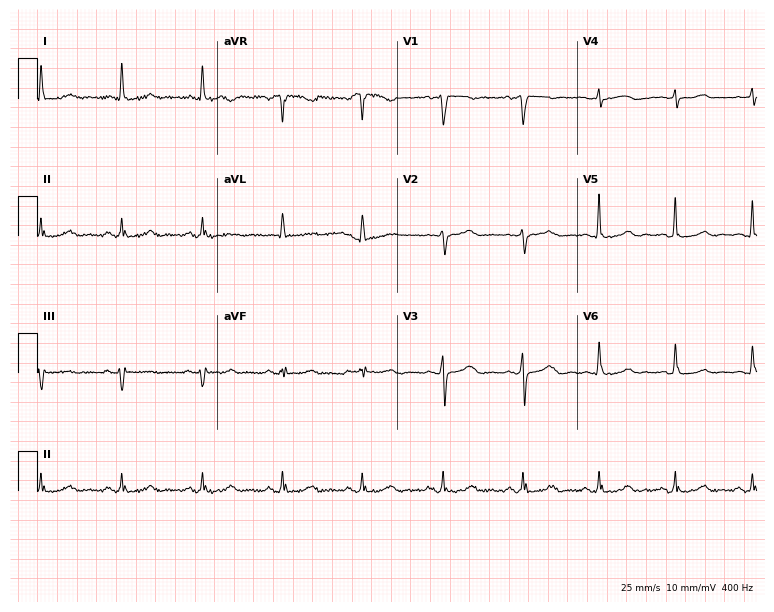
Resting 12-lead electrocardiogram. Patient: a female, 78 years old. None of these six findings is recorded: first-degree AV block, right bundle branch block, left bundle branch block, sinus bradycardia, atrial fibrillation, sinus tachycardia. Other findings, if any, are not listed.